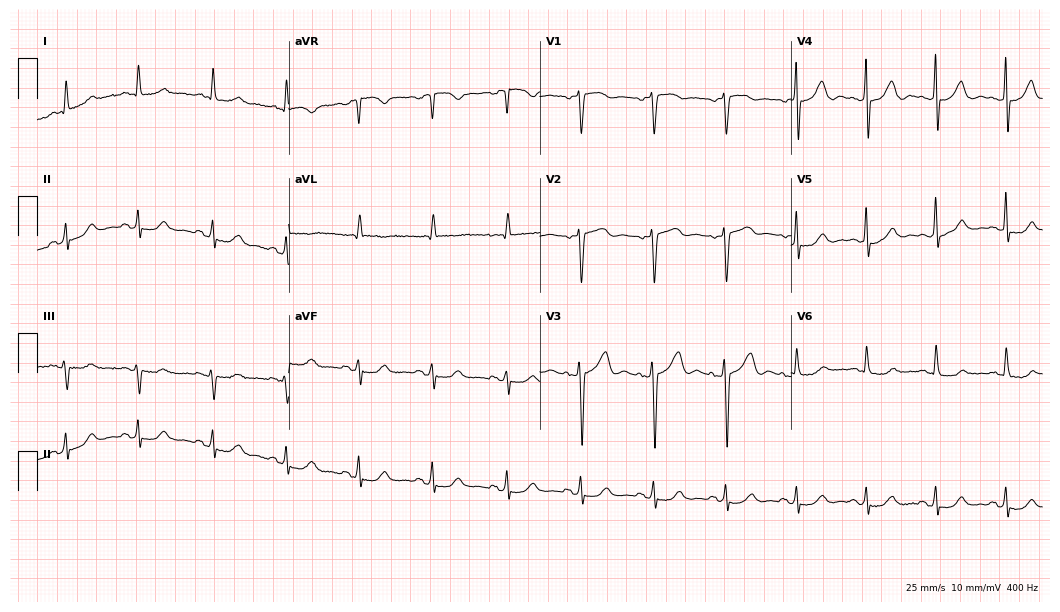
ECG — a 70-year-old woman. Screened for six findings — first-degree AV block, right bundle branch block, left bundle branch block, sinus bradycardia, atrial fibrillation, sinus tachycardia — none is recorded.